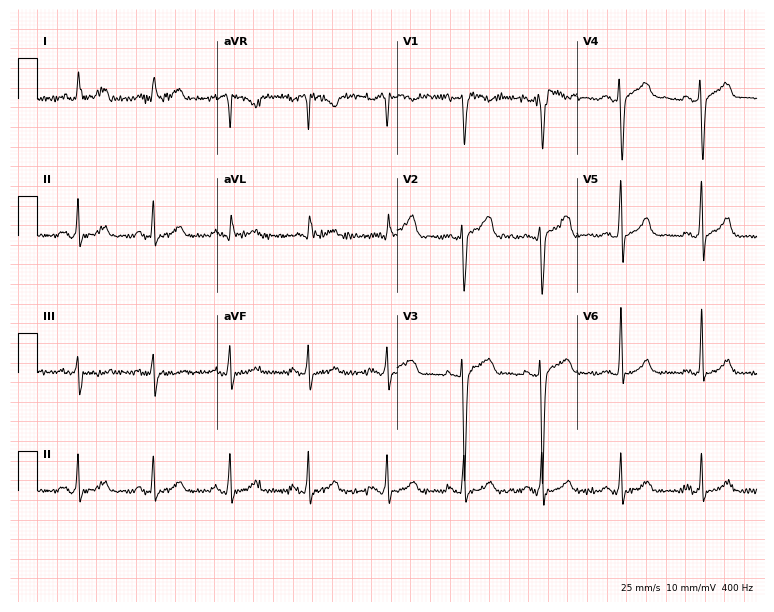
Resting 12-lead electrocardiogram. Patient: a 36-year-old man. None of these six findings is recorded: first-degree AV block, right bundle branch block, left bundle branch block, sinus bradycardia, atrial fibrillation, sinus tachycardia. Findings outside these six are not listed.